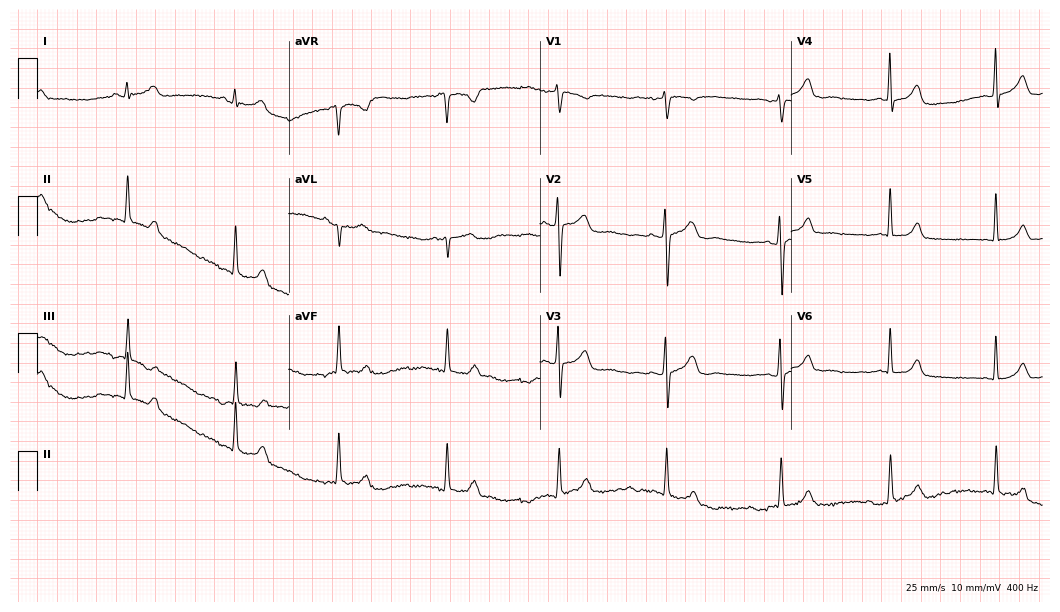
12-lead ECG from a 50-year-old female. Screened for six findings — first-degree AV block, right bundle branch block, left bundle branch block, sinus bradycardia, atrial fibrillation, sinus tachycardia — none is recorded. Findings outside these six are not listed.